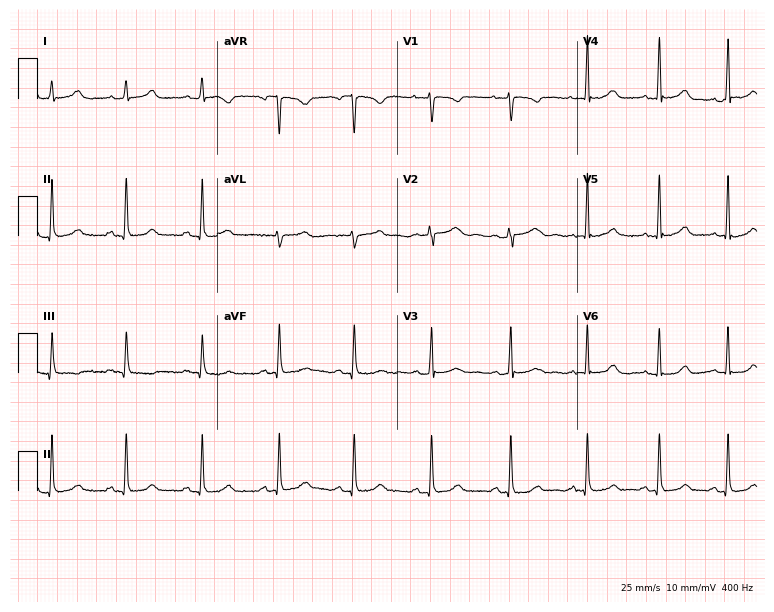
ECG (7.3-second recording at 400 Hz) — a 29-year-old female. Labelled as a normal ECG.